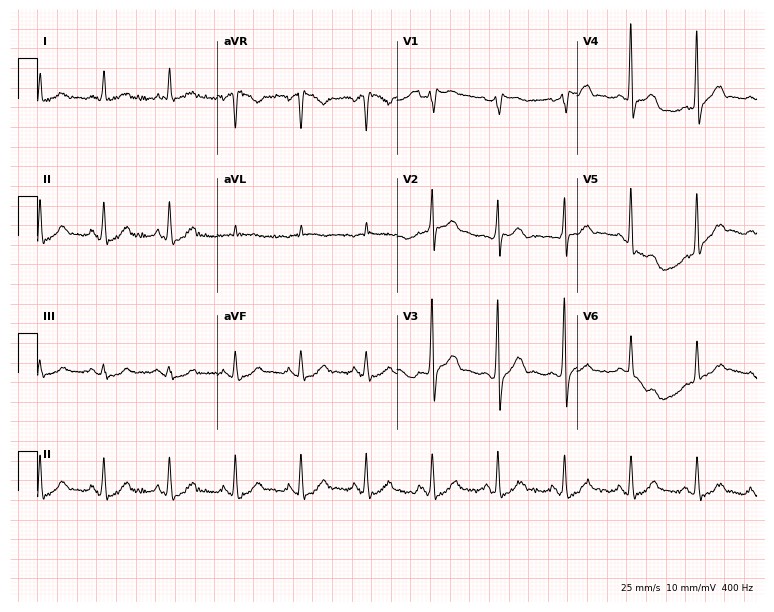
ECG — a woman, 54 years old. Screened for six findings — first-degree AV block, right bundle branch block, left bundle branch block, sinus bradycardia, atrial fibrillation, sinus tachycardia — none is recorded. Other findings, if any, are not listed.